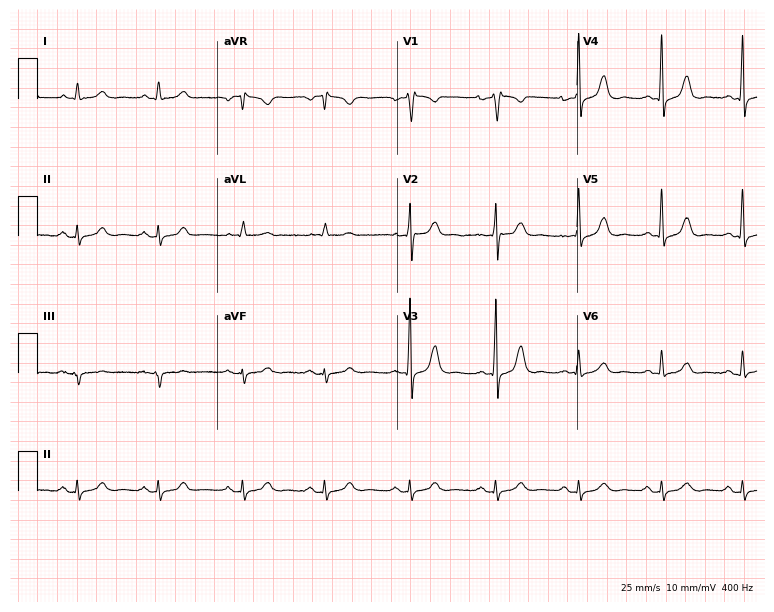
Standard 12-lead ECG recorded from an 82-year-old male patient (7.3-second recording at 400 Hz). None of these six findings is recorded: first-degree AV block, right bundle branch block (RBBB), left bundle branch block (LBBB), sinus bradycardia, atrial fibrillation (AF), sinus tachycardia. Only these six findings were labelled.